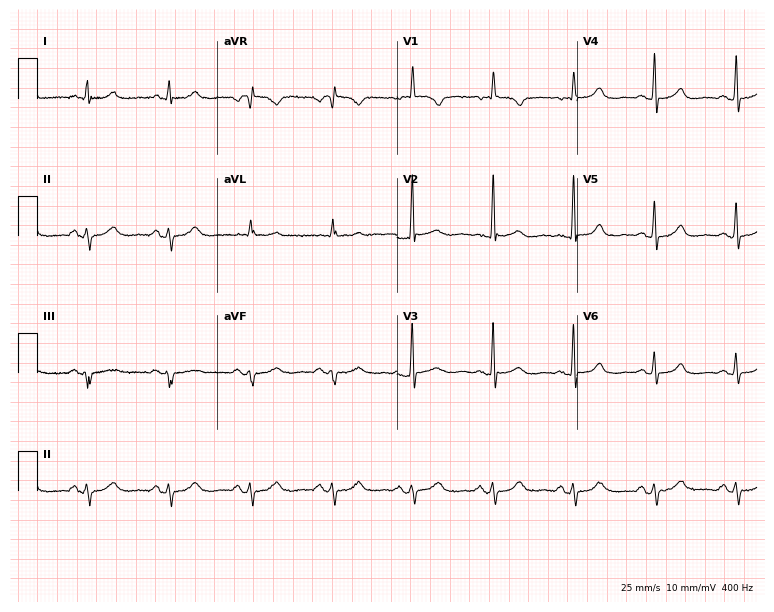
Standard 12-lead ECG recorded from a female, 76 years old. None of these six findings is recorded: first-degree AV block, right bundle branch block, left bundle branch block, sinus bradycardia, atrial fibrillation, sinus tachycardia.